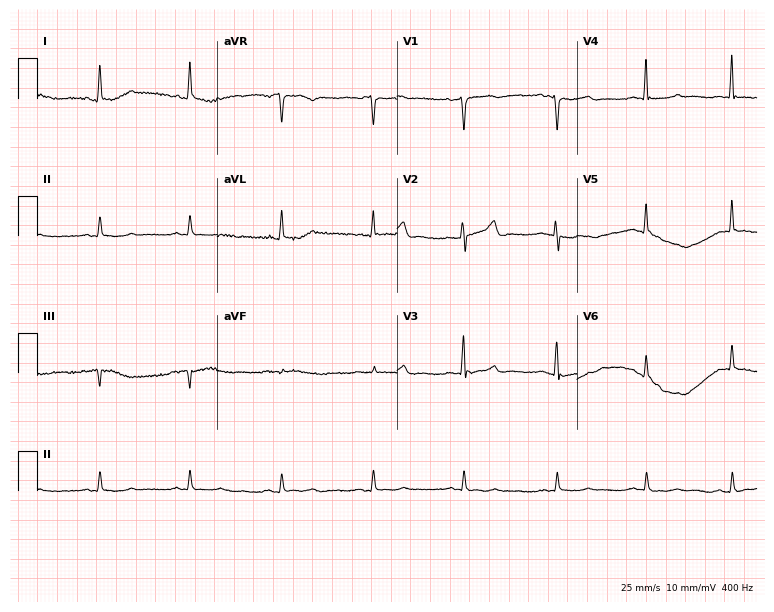
Standard 12-lead ECG recorded from a 68-year-old man (7.3-second recording at 400 Hz). None of these six findings is recorded: first-degree AV block, right bundle branch block, left bundle branch block, sinus bradycardia, atrial fibrillation, sinus tachycardia.